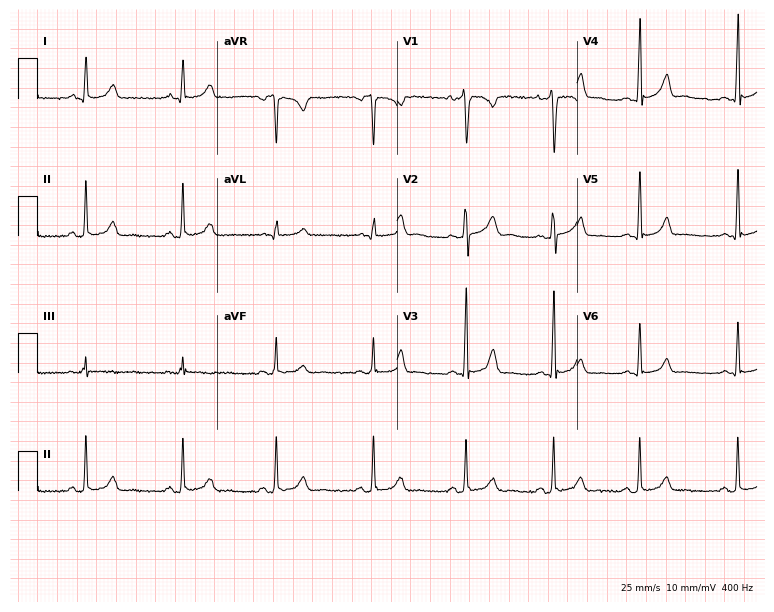
Electrocardiogram (7.3-second recording at 400 Hz), a 26-year-old male patient. Overall reading on record: normal ECG.